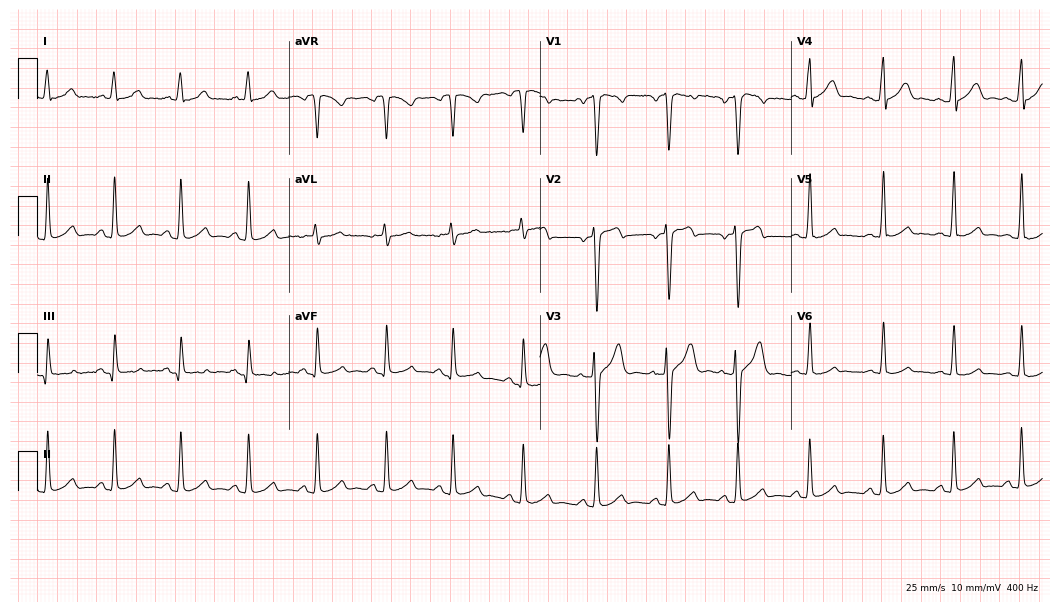
12-lead ECG from a female, 23 years old (10.2-second recording at 400 Hz). Recorded interpretation: within normal limits.